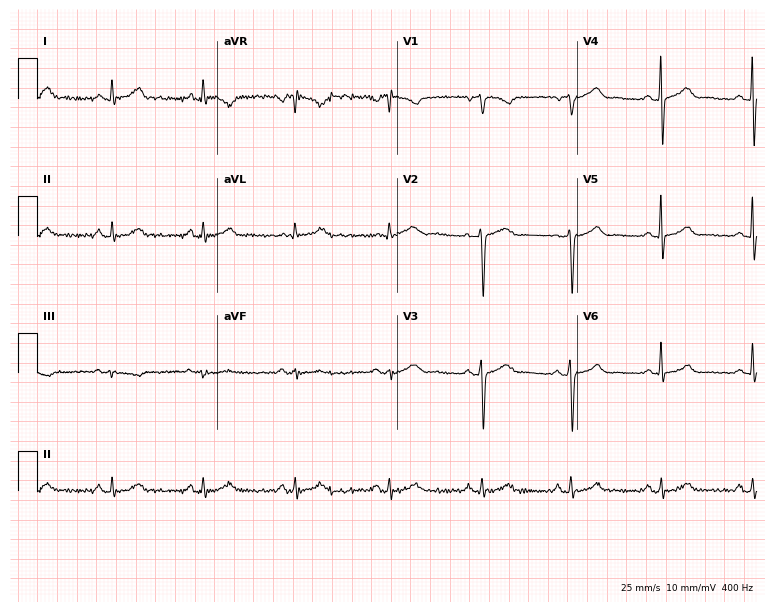
ECG — a 53-year-old man. Labelled as a normal ECG.